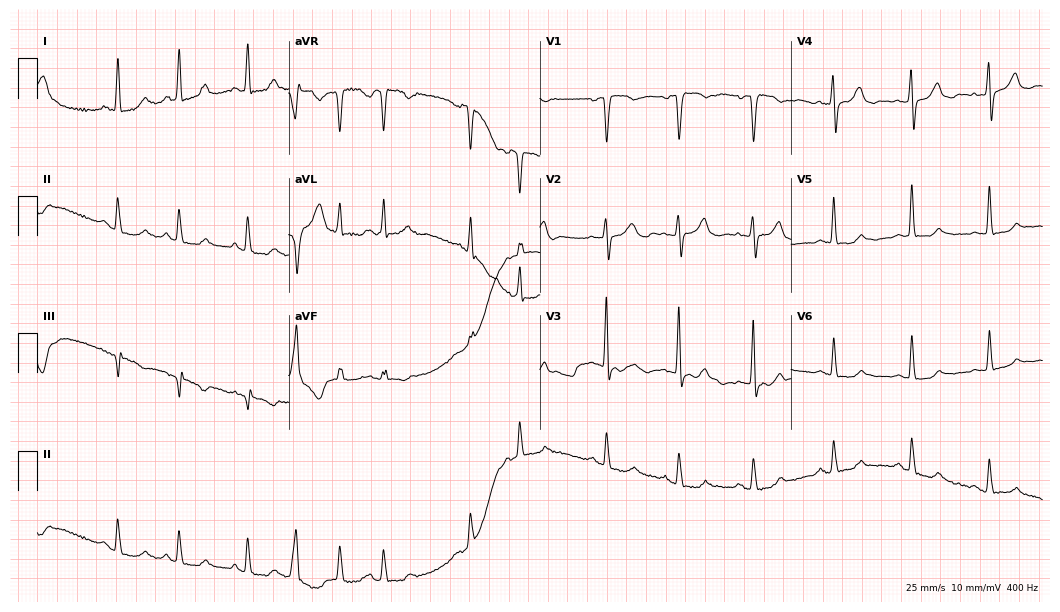
12-lead ECG from a 59-year-old female. Screened for six findings — first-degree AV block, right bundle branch block (RBBB), left bundle branch block (LBBB), sinus bradycardia, atrial fibrillation (AF), sinus tachycardia — none is recorded.